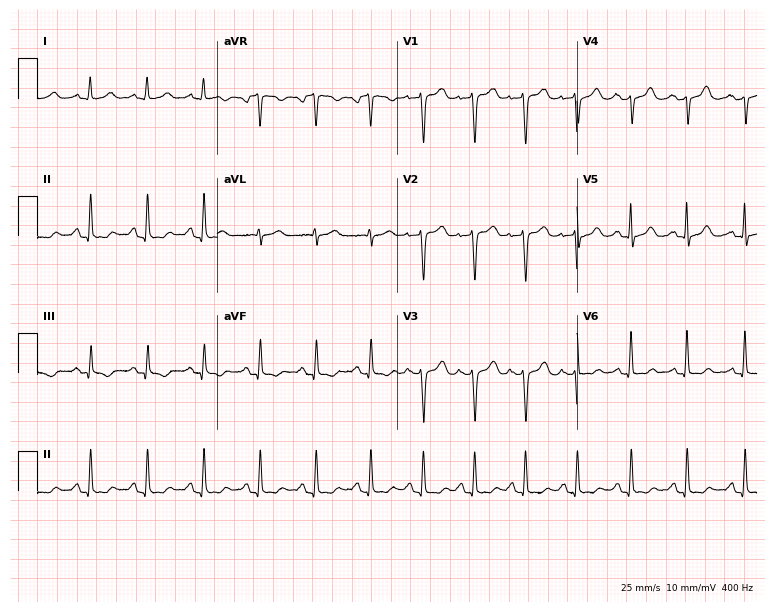
Electrocardiogram, a 50-year-old woman. Interpretation includes sinus tachycardia (a sinus rate of 100 beats per minute or more).